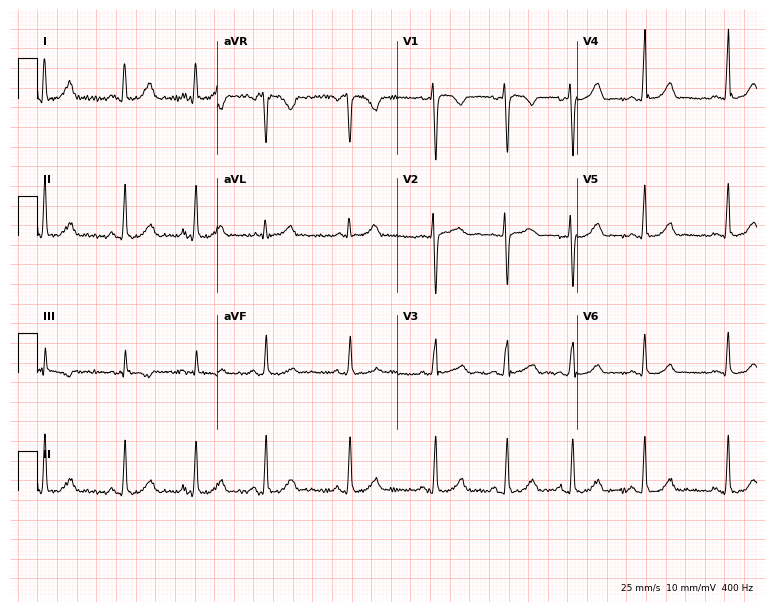
Standard 12-lead ECG recorded from a 23-year-old female. Read as a normal ECG.